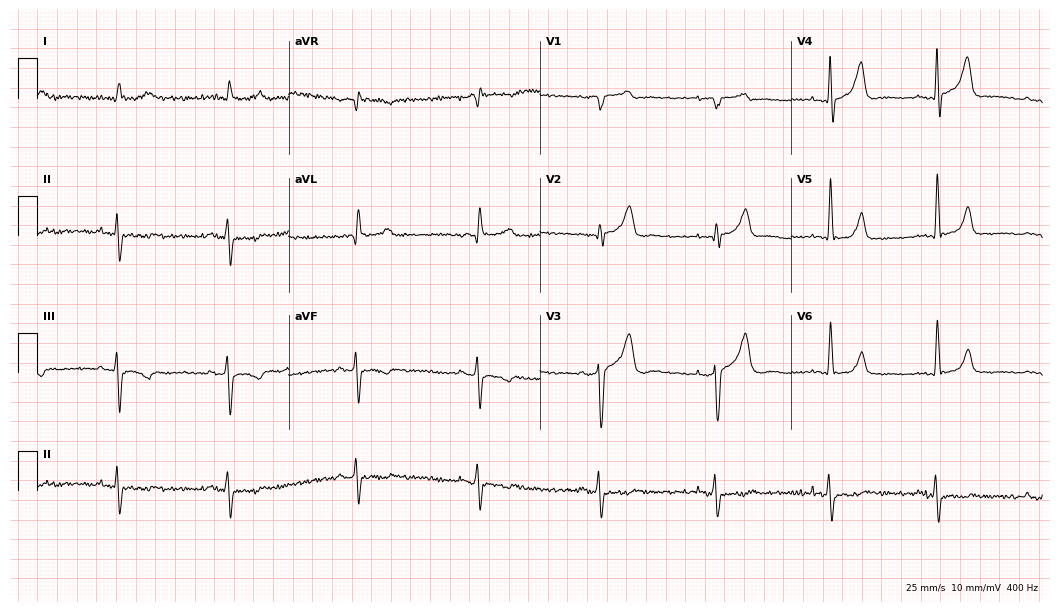
12-lead ECG from a male patient, 83 years old. Screened for six findings — first-degree AV block, right bundle branch block, left bundle branch block, sinus bradycardia, atrial fibrillation, sinus tachycardia — none is recorded.